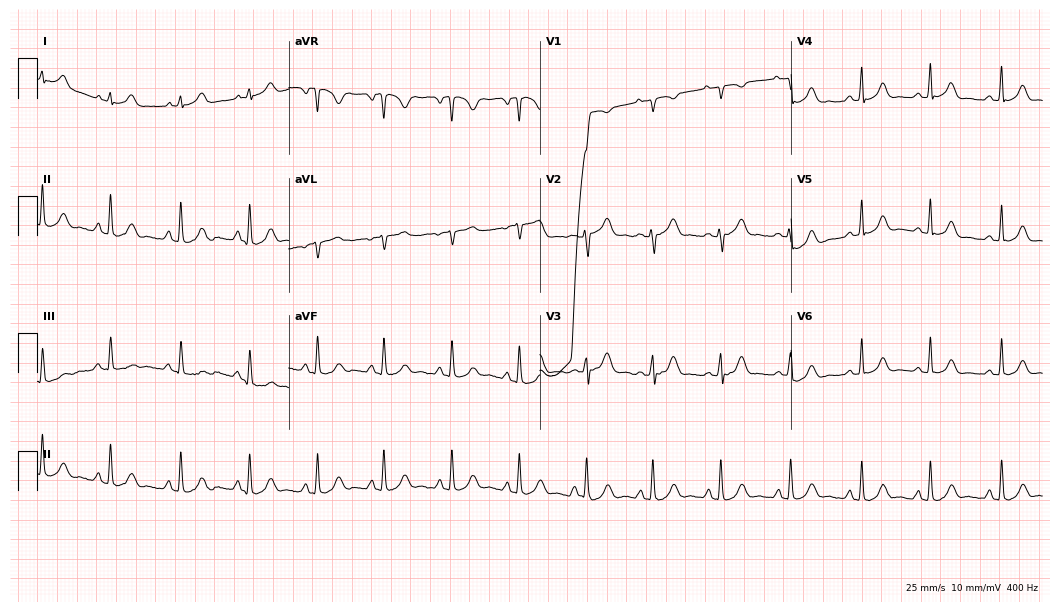
Electrocardiogram, a 28-year-old female patient. Of the six screened findings (first-degree AV block, right bundle branch block (RBBB), left bundle branch block (LBBB), sinus bradycardia, atrial fibrillation (AF), sinus tachycardia), none is recorded.